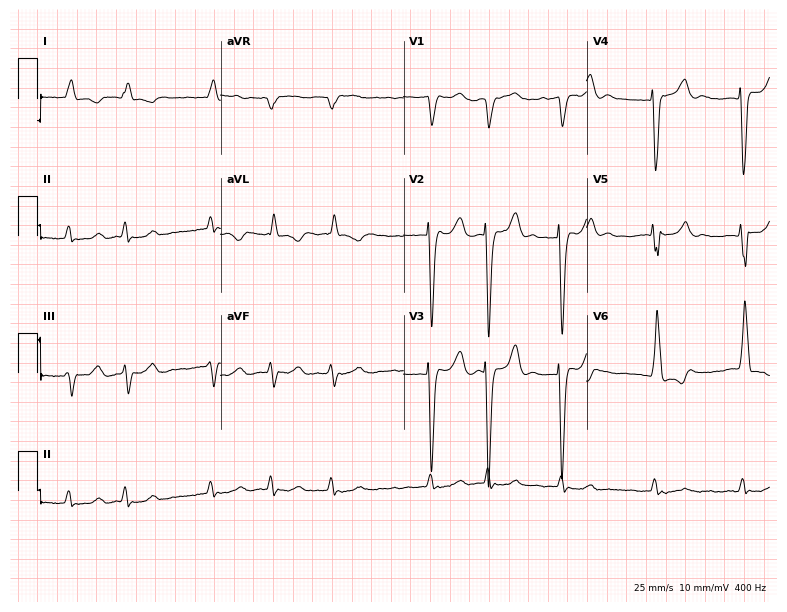
Standard 12-lead ECG recorded from a 68-year-old male. None of these six findings is recorded: first-degree AV block, right bundle branch block, left bundle branch block, sinus bradycardia, atrial fibrillation, sinus tachycardia.